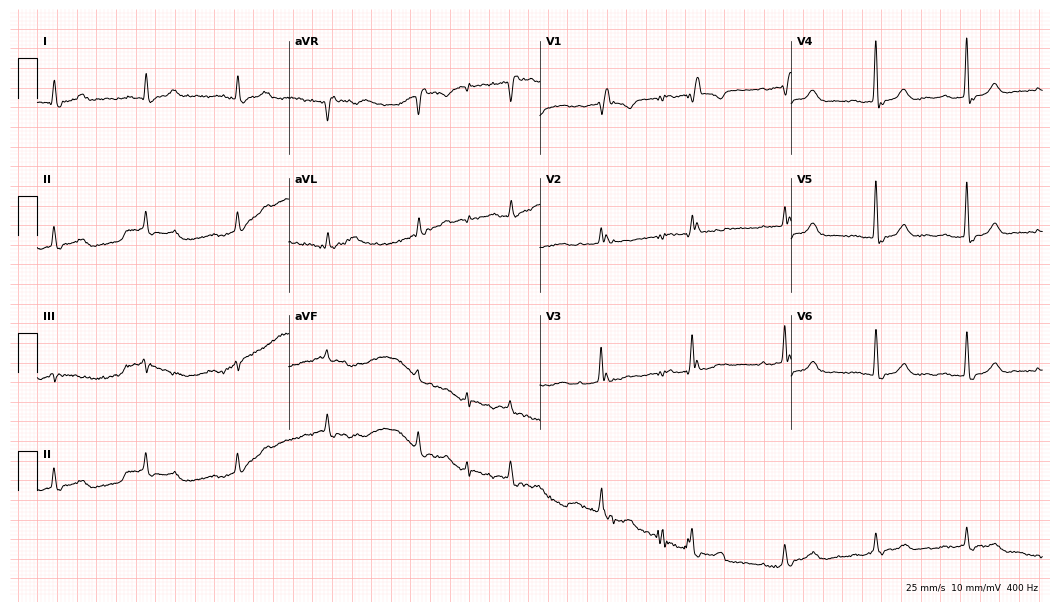
Resting 12-lead electrocardiogram. Patient: a male, 80 years old. None of these six findings is recorded: first-degree AV block, right bundle branch block (RBBB), left bundle branch block (LBBB), sinus bradycardia, atrial fibrillation (AF), sinus tachycardia. Only these six findings were labelled.